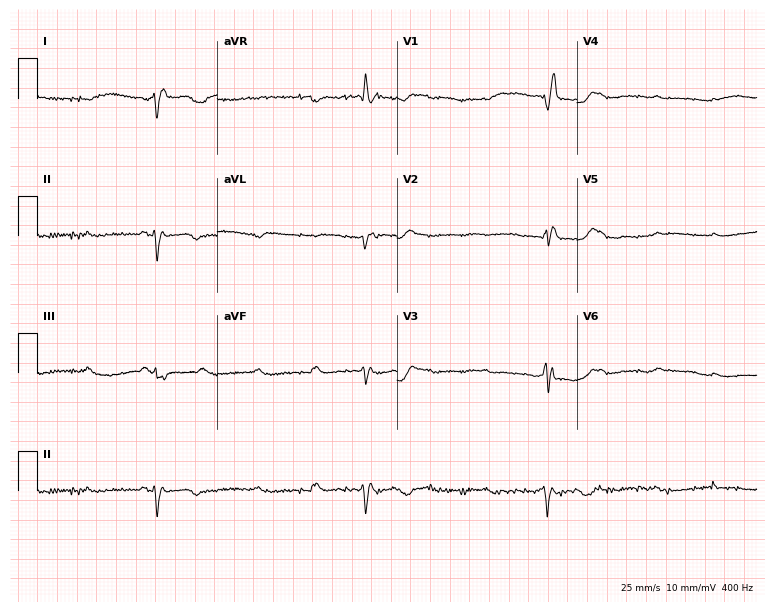
Electrocardiogram, a 79-year-old man. Of the six screened findings (first-degree AV block, right bundle branch block (RBBB), left bundle branch block (LBBB), sinus bradycardia, atrial fibrillation (AF), sinus tachycardia), none is recorded. Only these six findings were labelled.